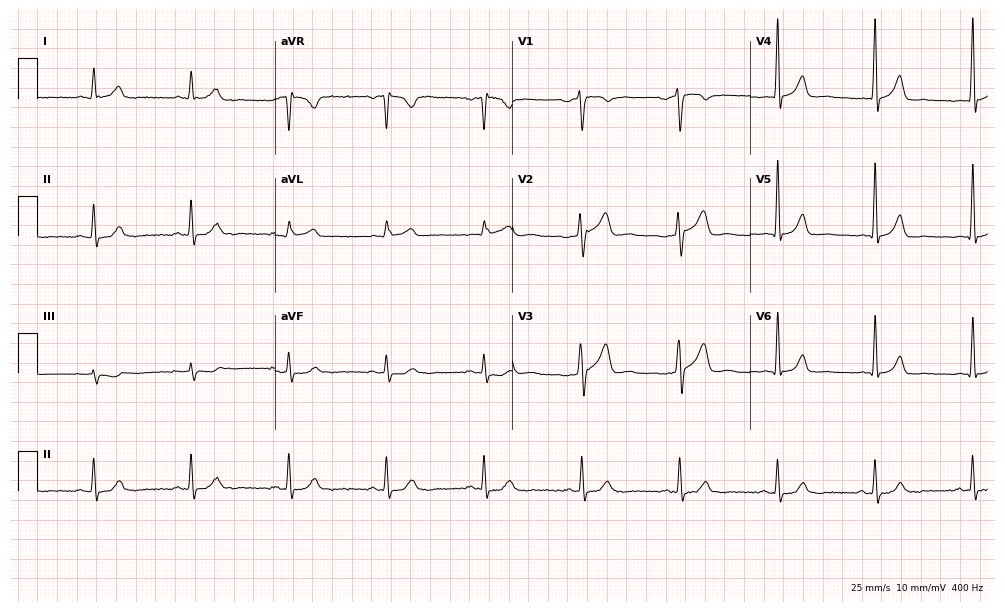
Resting 12-lead electrocardiogram. Patient: a 43-year-old male. Read as a normal ECG.